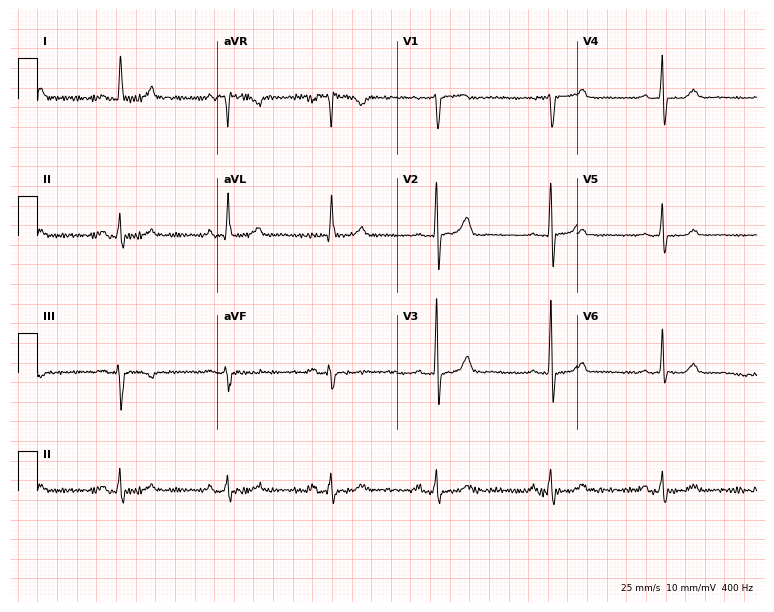
ECG (7.3-second recording at 400 Hz) — a female, 74 years old. Labelled as a normal ECG.